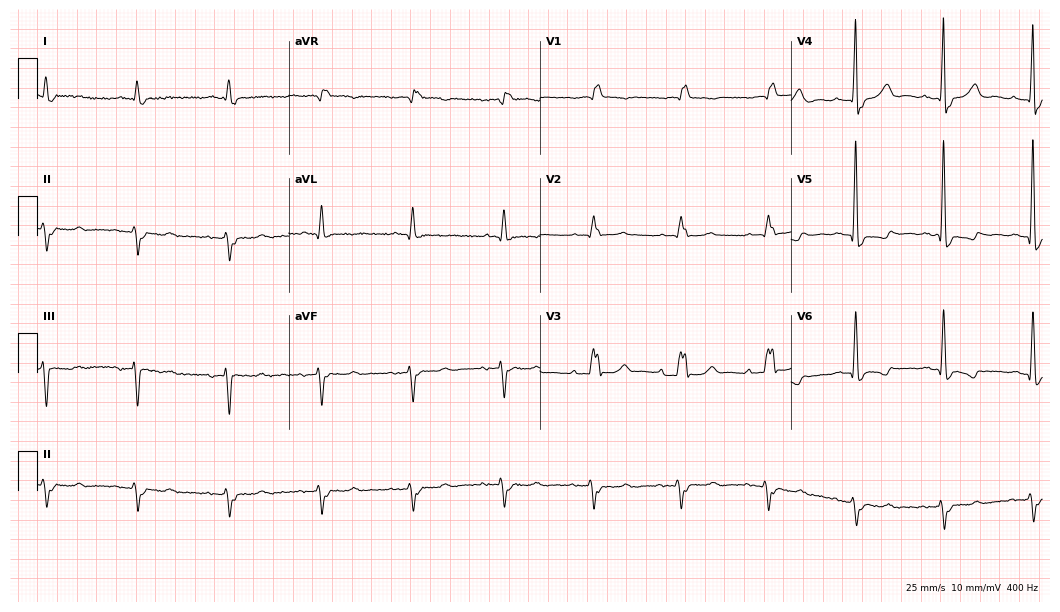
ECG (10.2-second recording at 400 Hz) — a male patient, 82 years old. Screened for six findings — first-degree AV block, right bundle branch block (RBBB), left bundle branch block (LBBB), sinus bradycardia, atrial fibrillation (AF), sinus tachycardia — none is recorded.